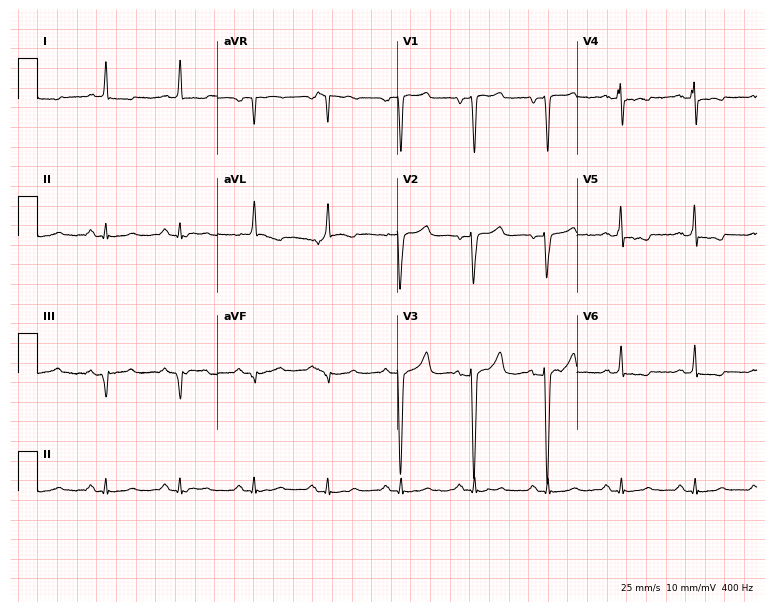
ECG — a man, 66 years old. Screened for six findings — first-degree AV block, right bundle branch block (RBBB), left bundle branch block (LBBB), sinus bradycardia, atrial fibrillation (AF), sinus tachycardia — none is recorded.